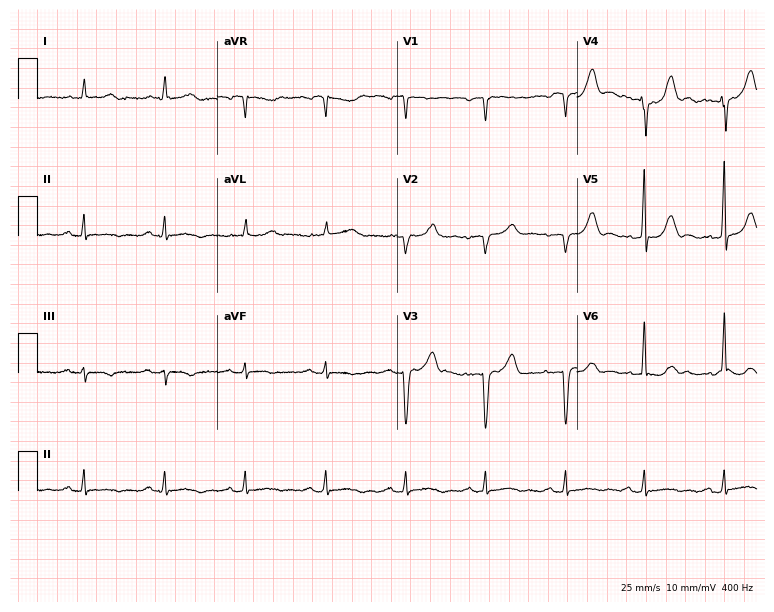
ECG — a man, 75 years old. Screened for six findings — first-degree AV block, right bundle branch block (RBBB), left bundle branch block (LBBB), sinus bradycardia, atrial fibrillation (AF), sinus tachycardia — none is recorded. Only these six findings were labelled.